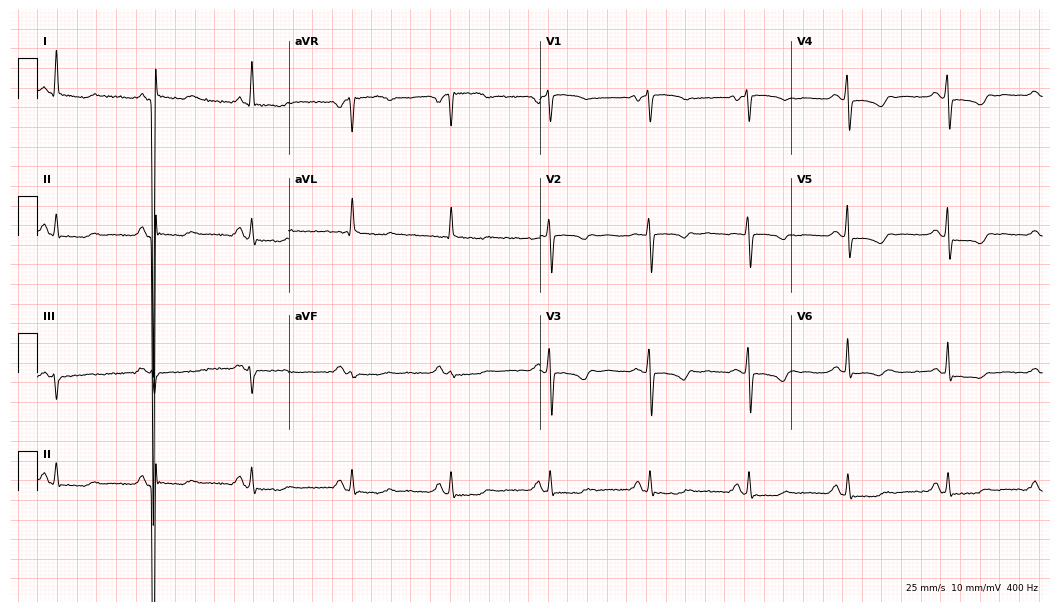
Standard 12-lead ECG recorded from a female patient, 70 years old. None of these six findings is recorded: first-degree AV block, right bundle branch block, left bundle branch block, sinus bradycardia, atrial fibrillation, sinus tachycardia.